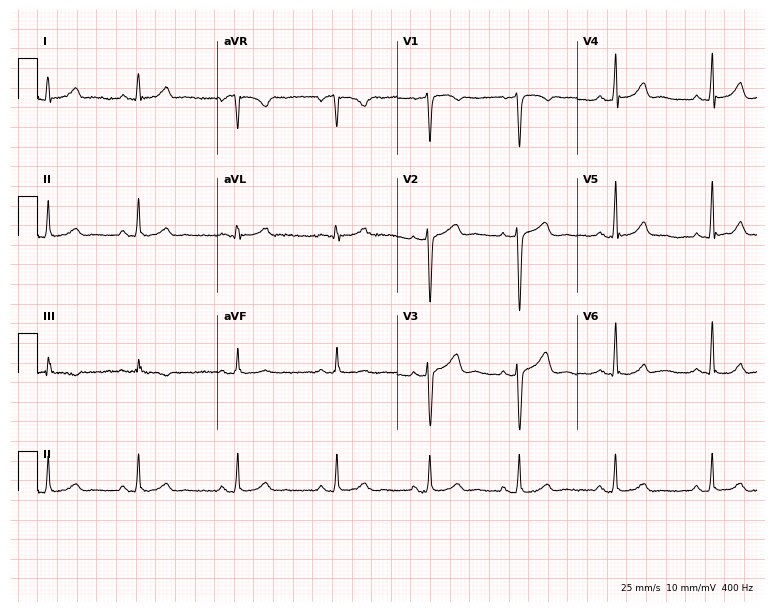
Electrocardiogram (7.3-second recording at 400 Hz), a female, 36 years old. Overall reading on record: normal ECG.